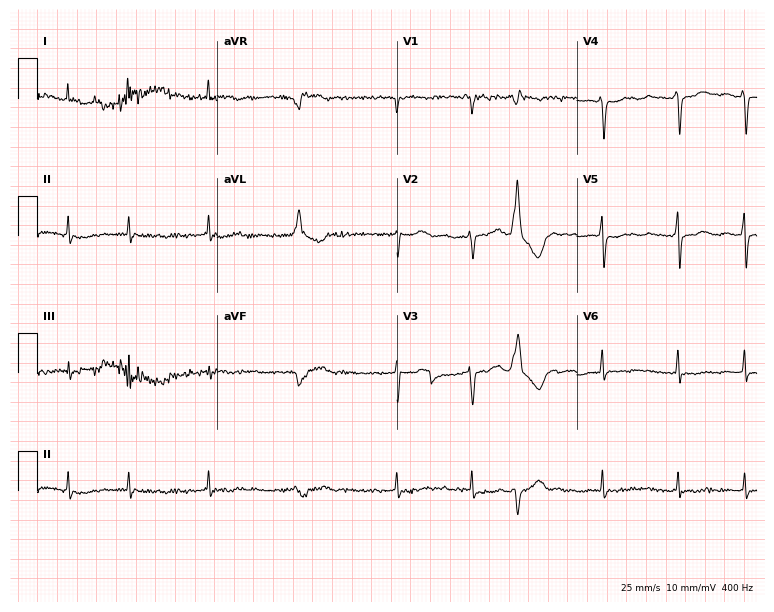
Electrocardiogram (7.3-second recording at 400 Hz), a 56-year-old woman. Of the six screened findings (first-degree AV block, right bundle branch block (RBBB), left bundle branch block (LBBB), sinus bradycardia, atrial fibrillation (AF), sinus tachycardia), none is recorded. Other findings, if any, are not listed.